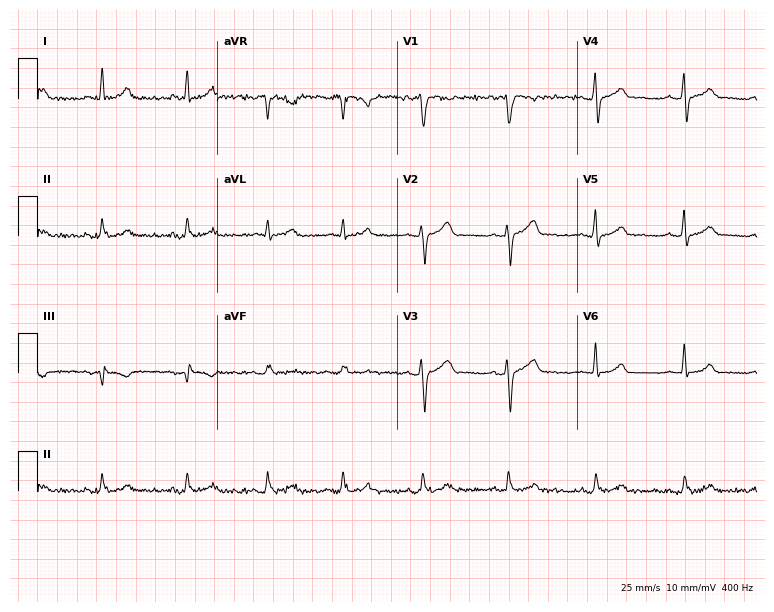
ECG — a 41-year-old male. Labelled as a normal ECG.